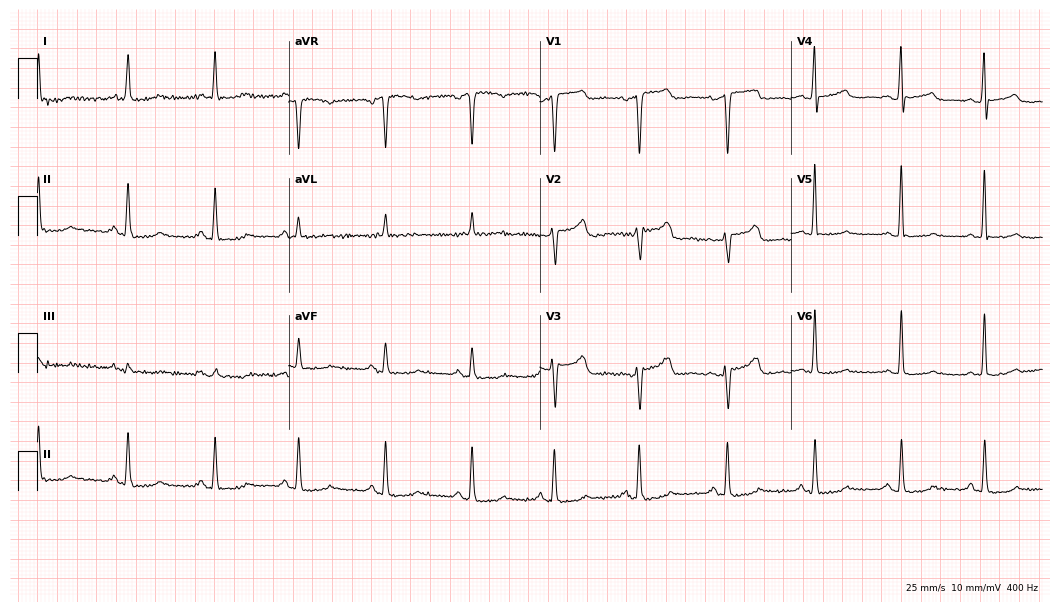
Standard 12-lead ECG recorded from a female, 60 years old. None of these six findings is recorded: first-degree AV block, right bundle branch block (RBBB), left bundle branch block (LBBB), sinus bradycardia, atrial fibrillation (AF), sinus tachycardia.